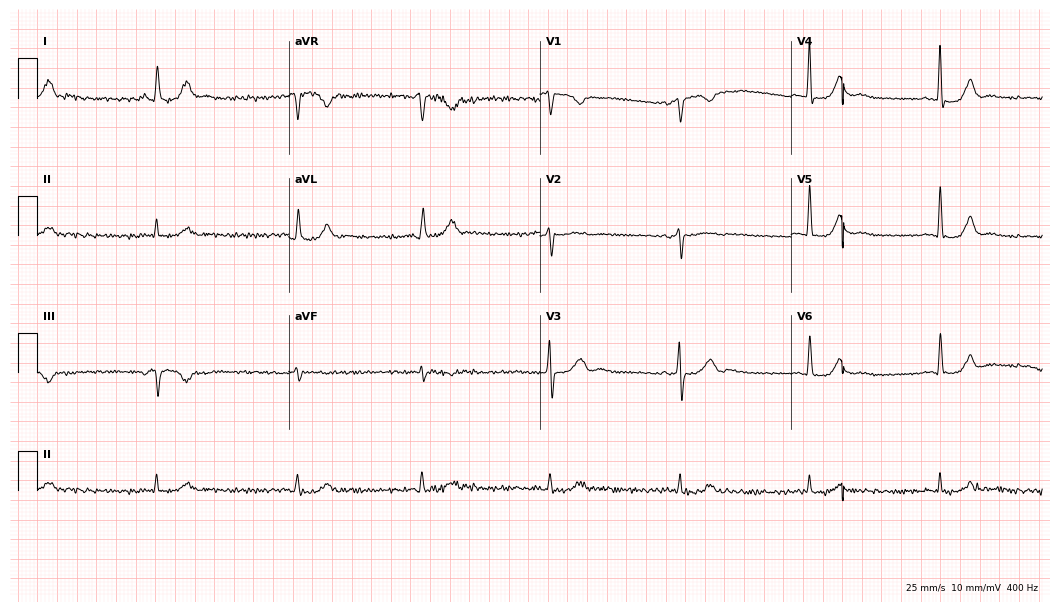
Electrocardiogram (10.2-second recording at 400 Hz), a 72-year-old female. Interpretation includes sinus bradycardia (a sinus rate of 50 beats per minute or less).